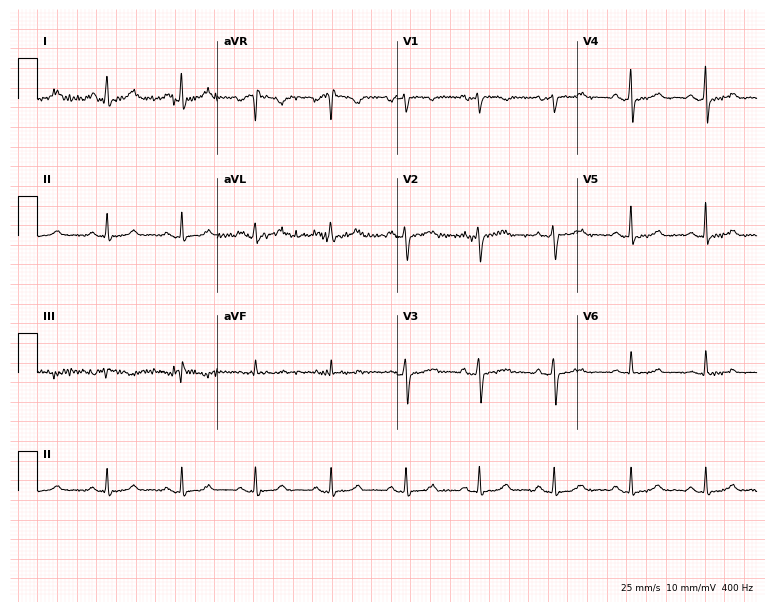
Standard 12-lead ECG recorded from a female, 55 years old. None of these six findings is recorded: first-degree AV block, right bundle branch block (RBBB), left bundle branch block (LBBB), sinus bradycardia, atrial fibrillation (AF), sinus tachycardia.